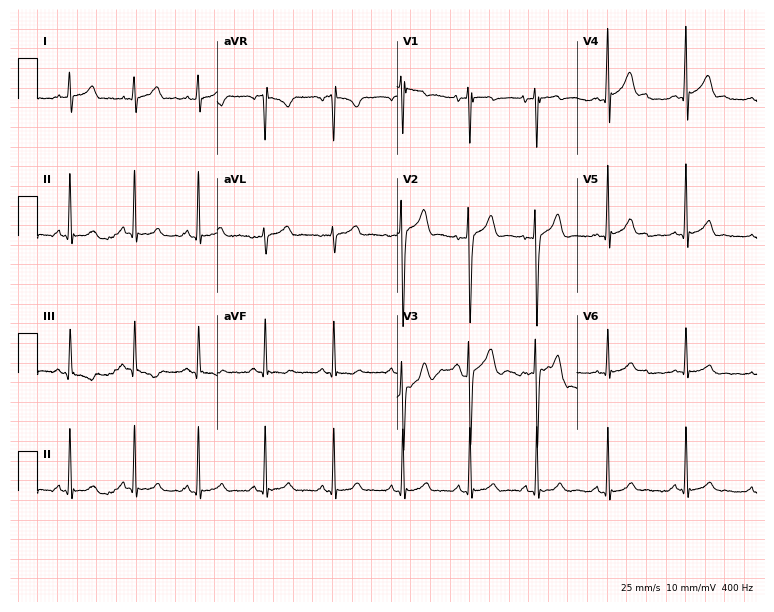
12-lead ECG from a 21-year-old male. No first-degree AV block, right bundle branch block (RBBB), left bundle branch block (LBBB), sinus bradycardia, atrial fibrillation (AF) or sinus tachycardia recorded for this tracing.